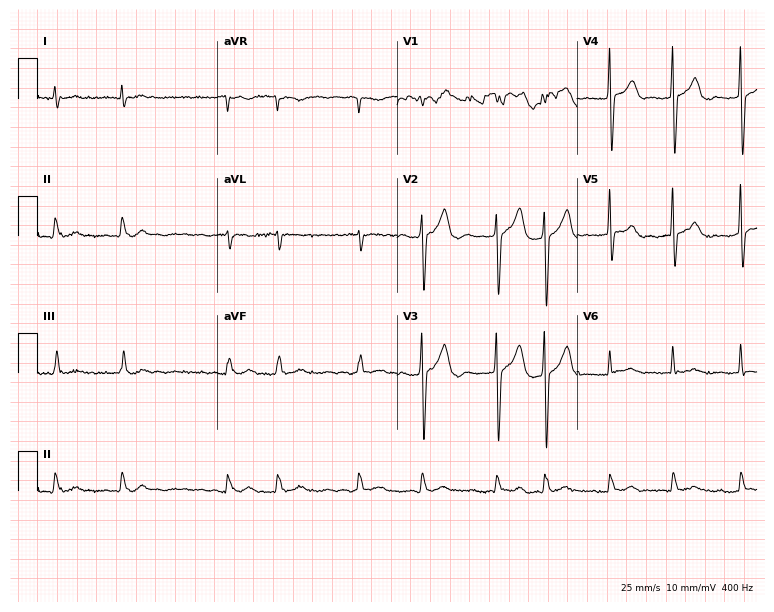
Resting 12-lead electrocardiogram. Patient: a 63-year-old man. The tracing shows atrial fibrillation (AF).